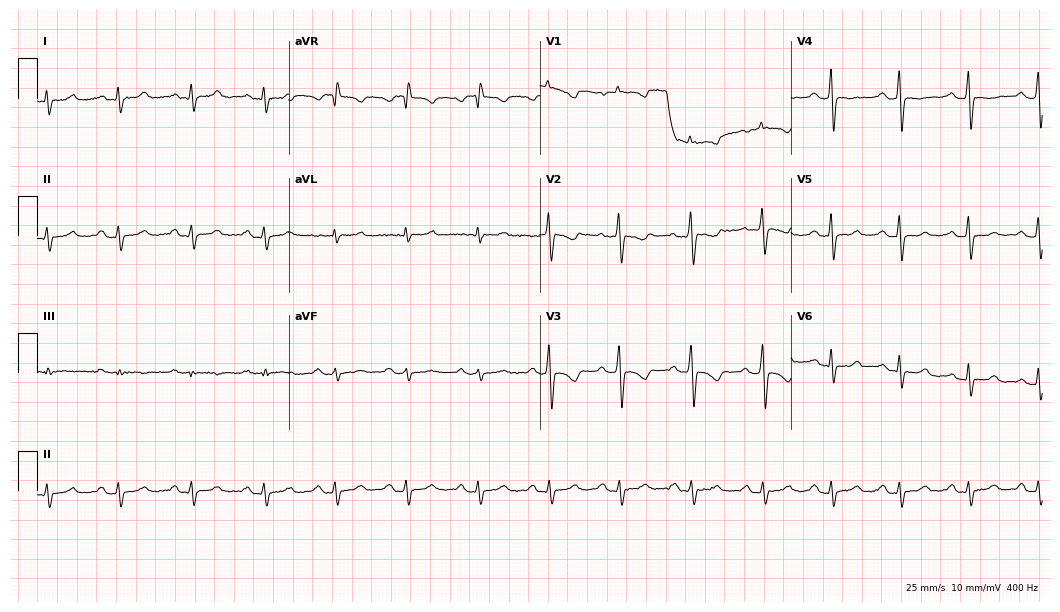
12-lead ECG from a 40-year-old woman. Screened for six findings — first-degree AV block, right bundle branch block (RBBB), left bundle branch block (LBBB), sinus bradycardia, atrial fibrillation (AF), sinus tachycardia — none is recorded.